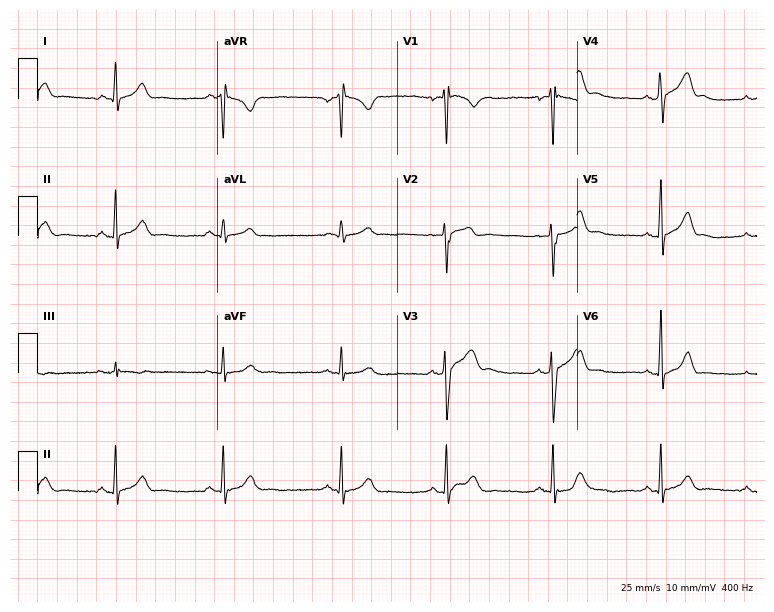
12-lead ECG from a 34-year-old man. No first-degree AV block, right bundle branch block, left bundle branch block, sinus bradycardia, atrial fibrillation or sinus tachycardia recorded for this tracing.